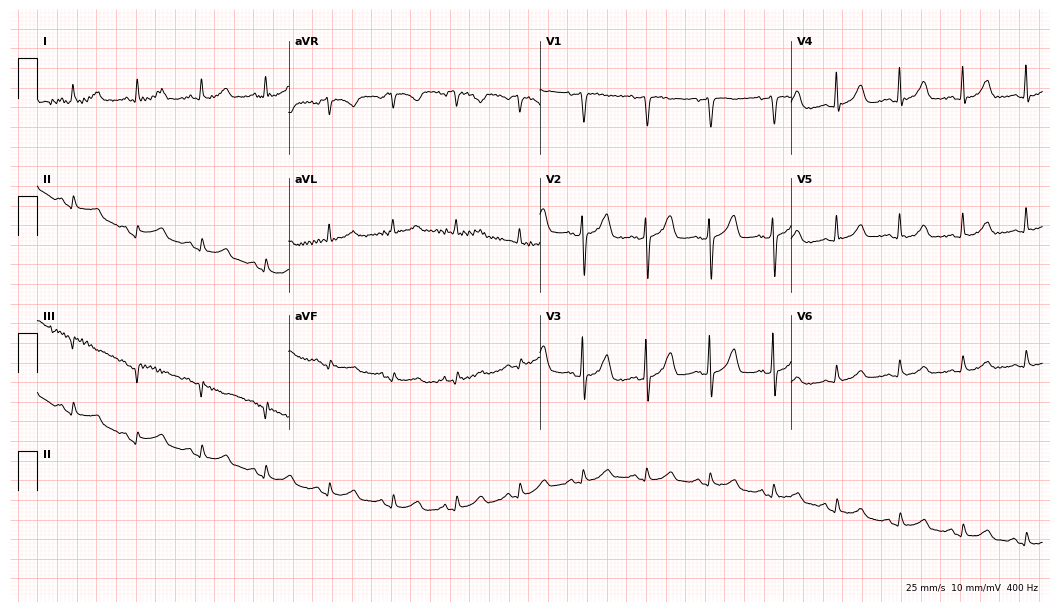
Standard 12-lead ECG recorded from a woman, 67 years old. None of these six findings is recorded: first-degree AV block, right bundle branch block (RBBB), left bundle branch block (LBBB), sinus bradycardia, atrial fibrillation (AF), sinus tachycardia. Only these six findings were labelled.